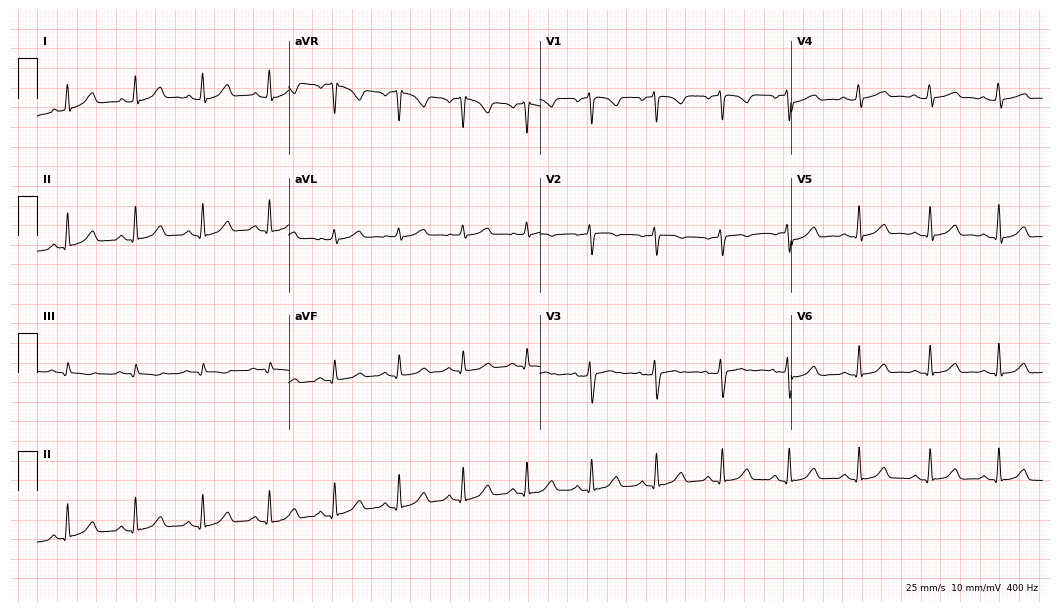
ECG (10.2-second recording at 400 Hz) — a female, 38 years old. Labelled as a normal ECG.